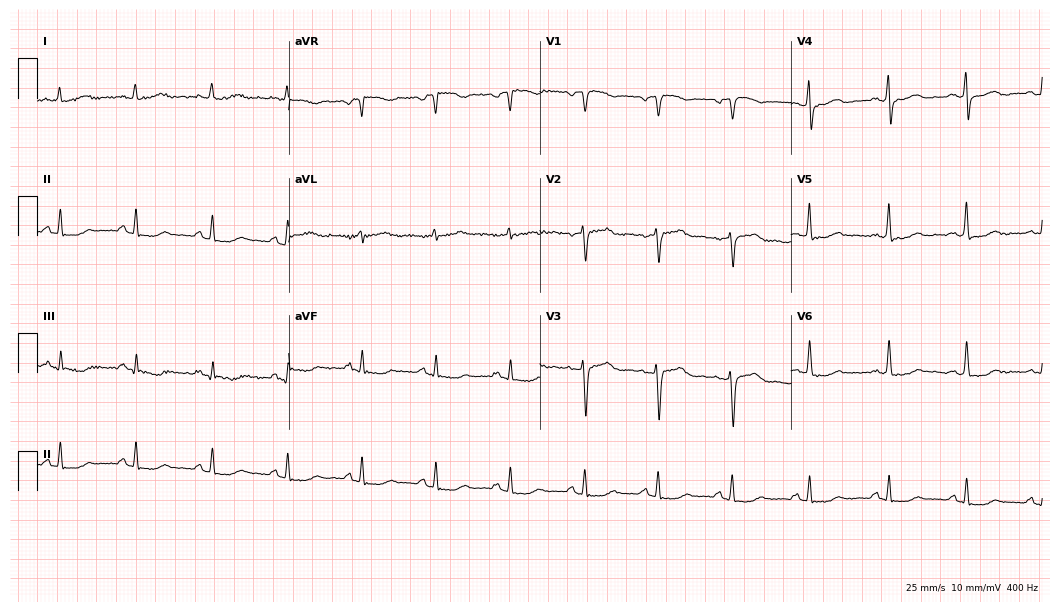
Electrocardiogram (10.2-second recording at 400 Hz), a 47-year-old woman. Of the six screened findings (first-degree AV block, right bundle branch block, left bundle branch block, sinus bradycardia, atrial fibrillation, sinus tachycardia), none is recorded. Findings outside these six are not listed.